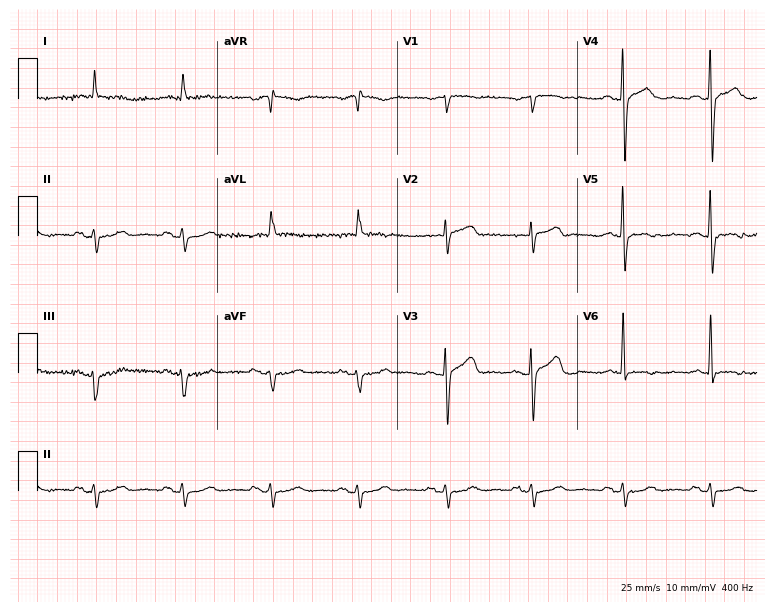
12-lead ECG from an 87-year-old male. Screened for six findings — first-degree AV block, right bundle branch block, left bundle branch block, sinus bradycardia, atrial fibrillation, sinus tachycardia — none is recorded. Other findings, if any, are not listed.